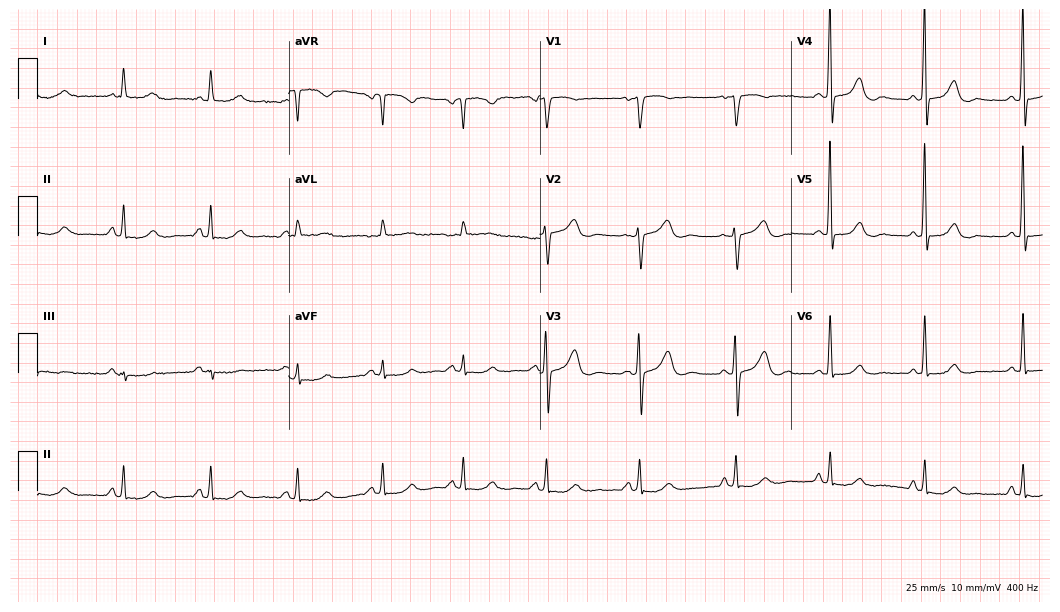
Resting 12-lead electrocardiogram (10.2-second recording at 400 Hz). Patient: a woman, 60 years old. None of these six findings is recorded: first-degree AV block, right bundle branch block, left bundle branch block, sinus bradycardia, atrial fibrillation, sinus tachycardia. Other findings, if any, are not listed.